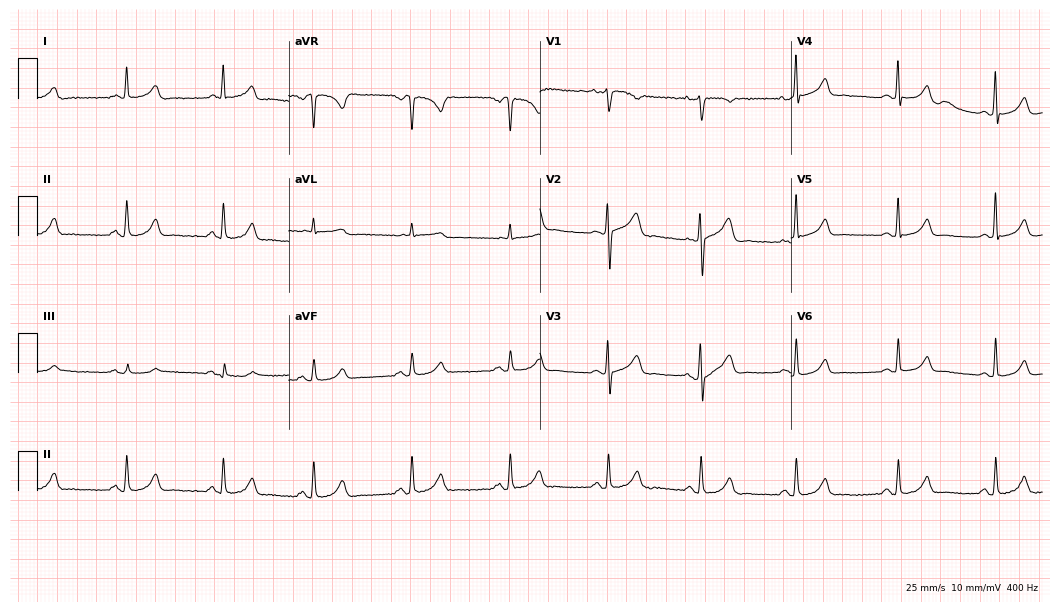
Resting 12-lead electrocardiogram (10.2-second recording at 400 Hz). Patient: a woman, 64 years old. Read as a normal ECG.